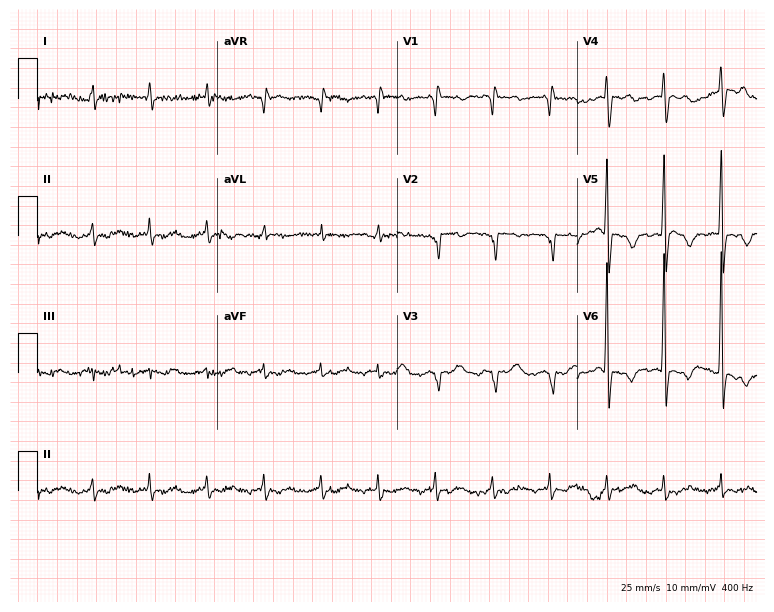
Resting 12-lead electrocardiogram (7.3-second recording at 400 Hz). Patient: a male, 72 years old. None of these six findings is recorded: first-degree AV block, right bundle branch block (RBBB), left bundle branch block (LBBB), sinus bradycardia, atrial fibrillation (AF), sinus tachycardia.